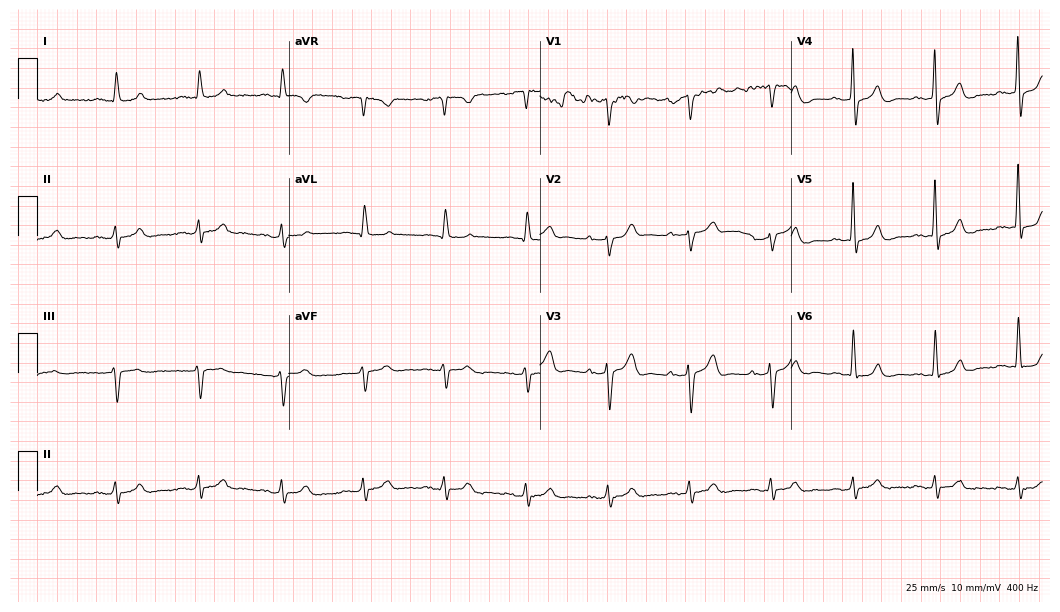
Standard 12-lead ECG recorded from an 81-year-old male patient. Read as a normal ECG.